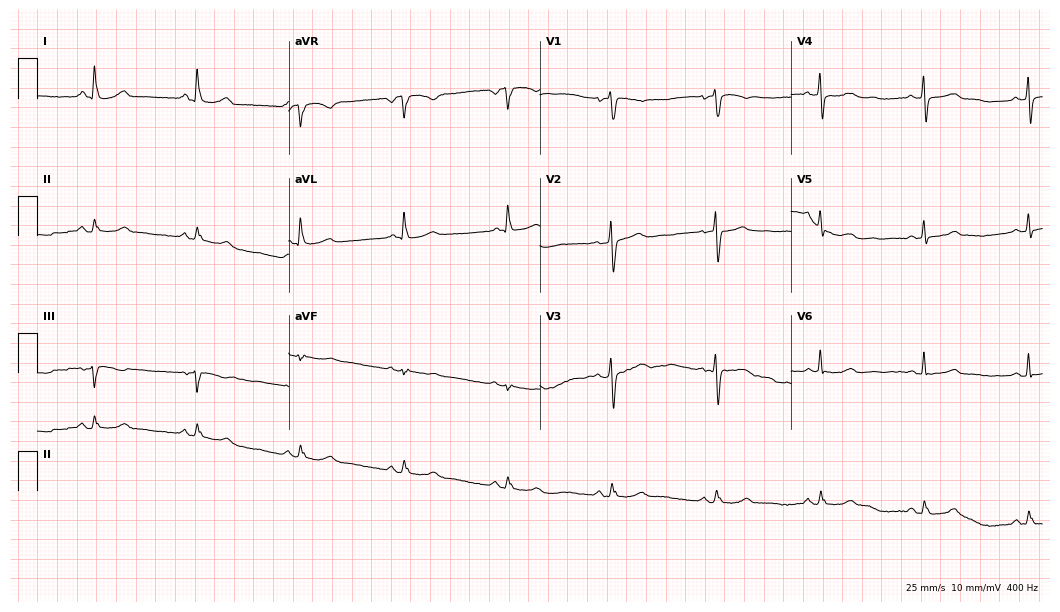
Resting 12-lead electrocardiogram (10.2-second recording at 400 Hz). Patient: a female, 65 years old. Read as a normal ECG.